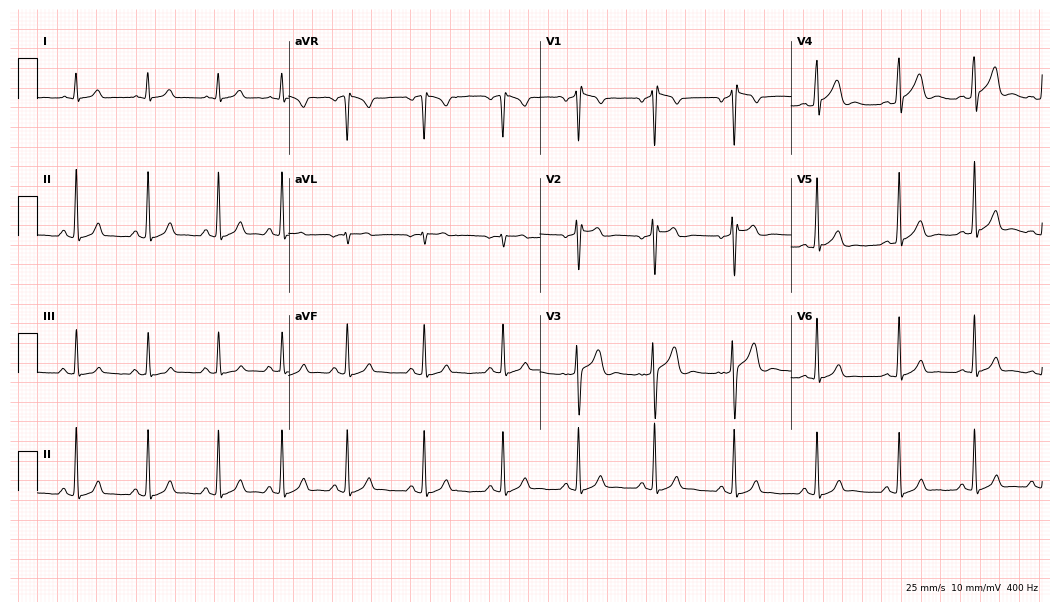
Standard 12-lead ECG recorded from a man, 35 years old. Read as a normal ECG.